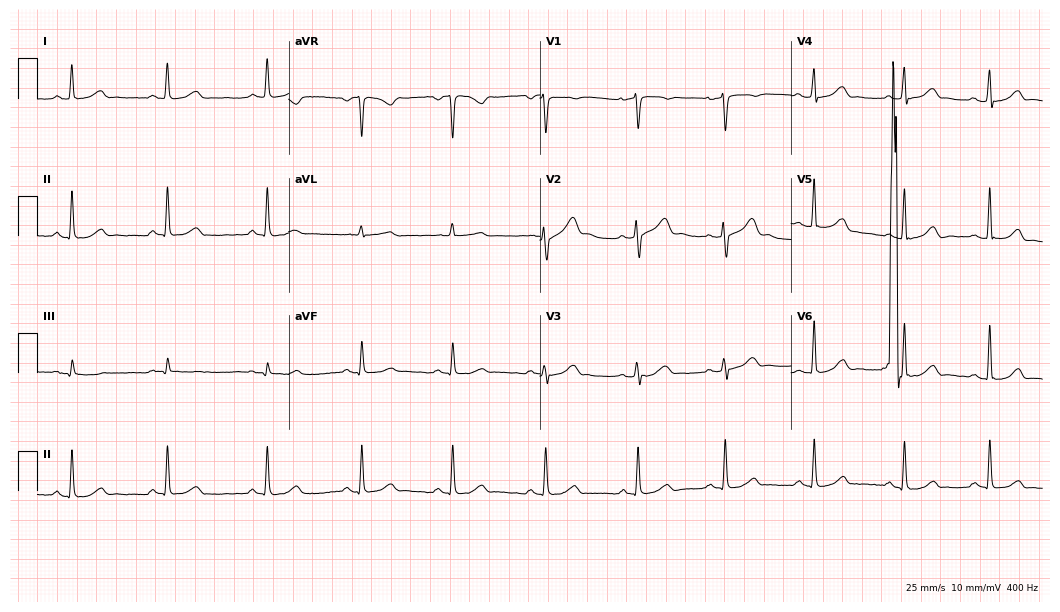
12-lead ECG from a 39-year-old woman. Labelled as a normal ECG.